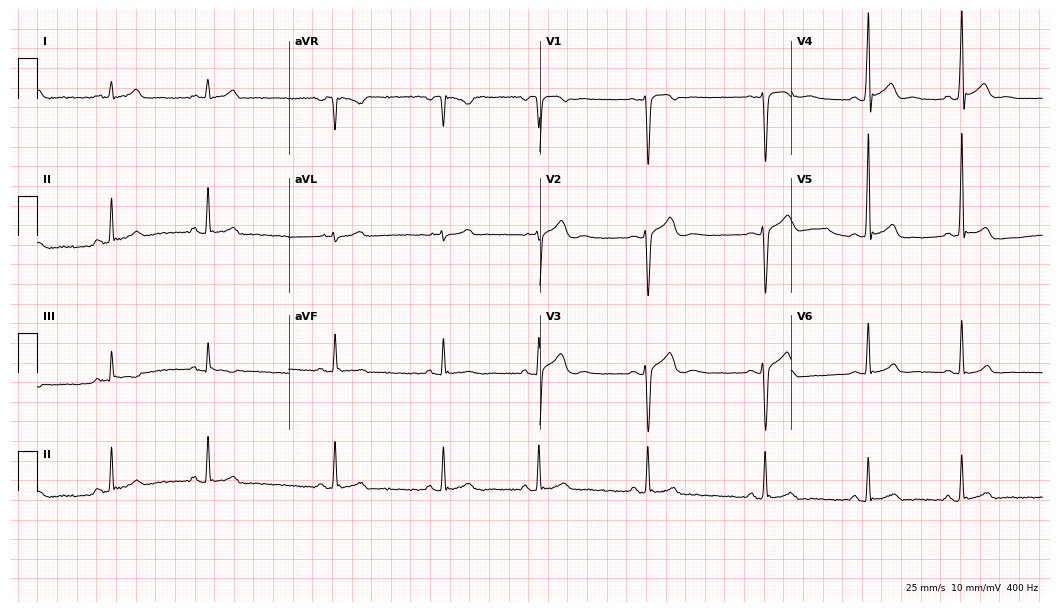
12-lead ECG from a 23-year-old man. Labelled as a normal ECG.